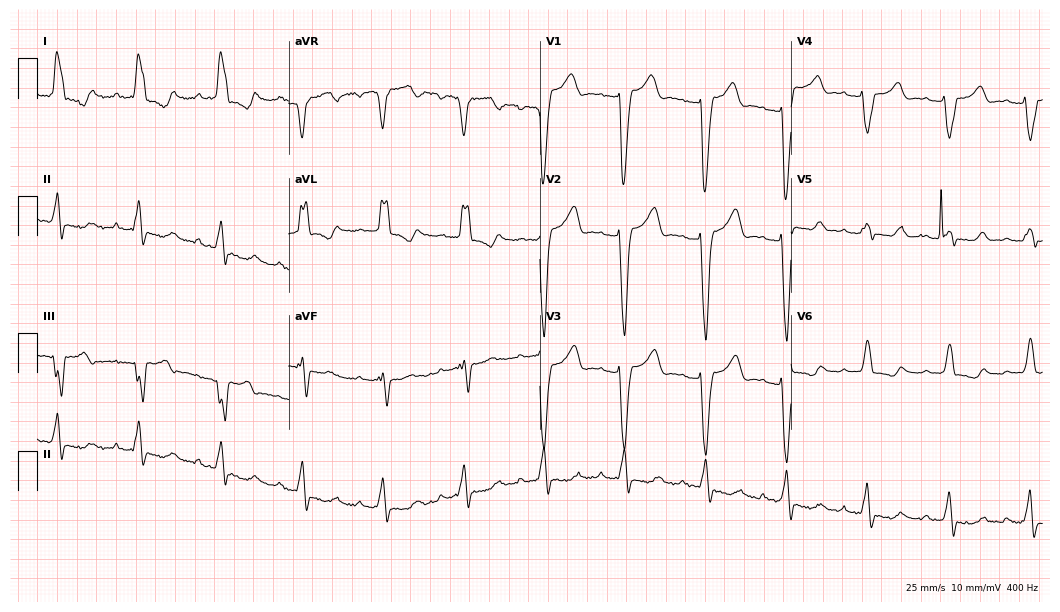
Resting 12-lead electrocardiogram. Patient: an 80-year-old female. The tracing shows left bundle branch block (LBBB).